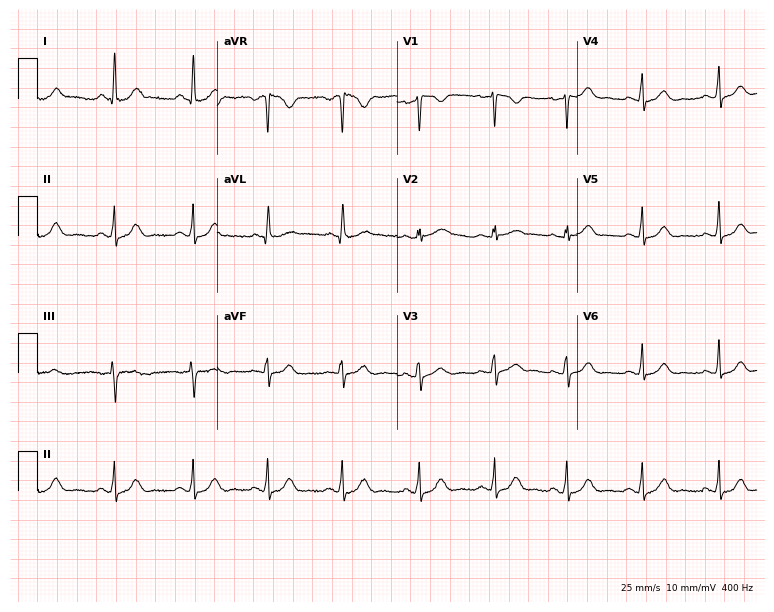
Standard 12-lead ECG recorded from a woman, 40 years old (7.3-second recording at 400 Hz). Read as a normal ECG.